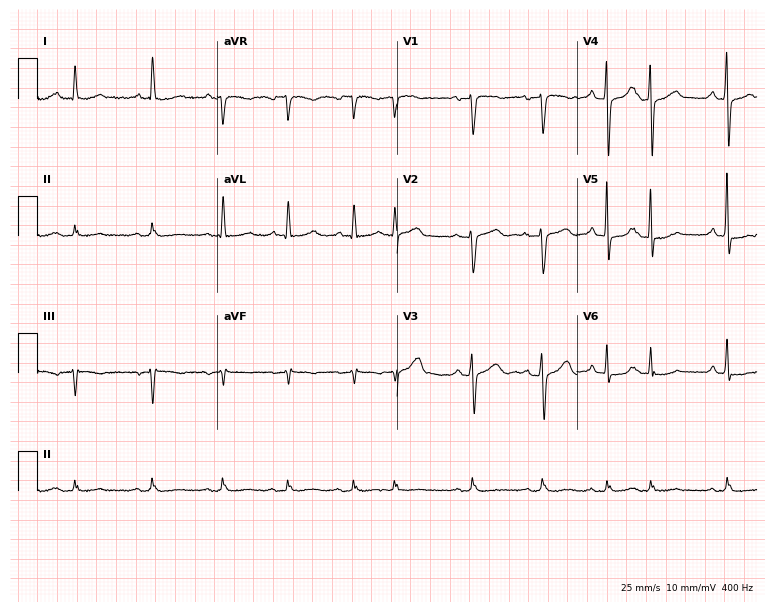
Electrocardiogram, a female patient, 80 years old. Of the six screened findings (first-degree AV block, right bundle branch block, left bundle branch block, sinus bradycardia, atrial fibrillation, sinus tachycardia), none is recorded.